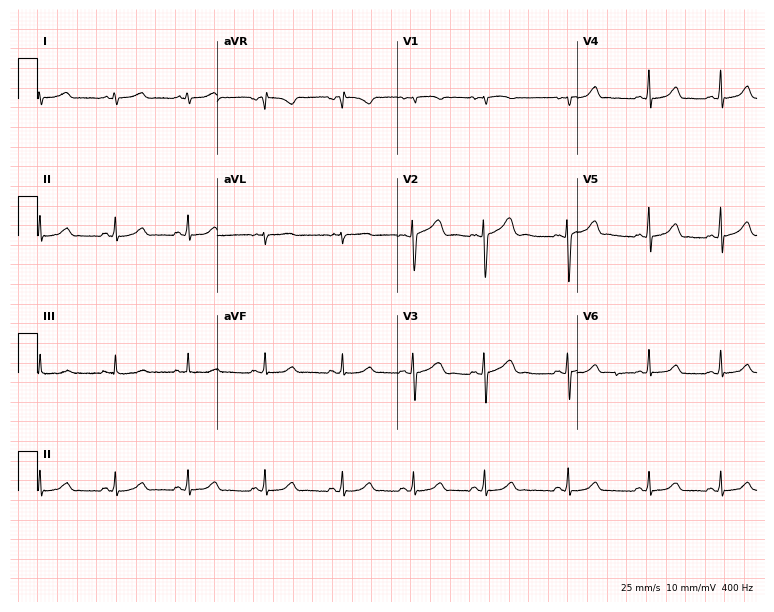
Standard 12-lead ECG recorded from a 17-year-old female (7.3-second recording at 400 Hz). Read as a normal ECG.